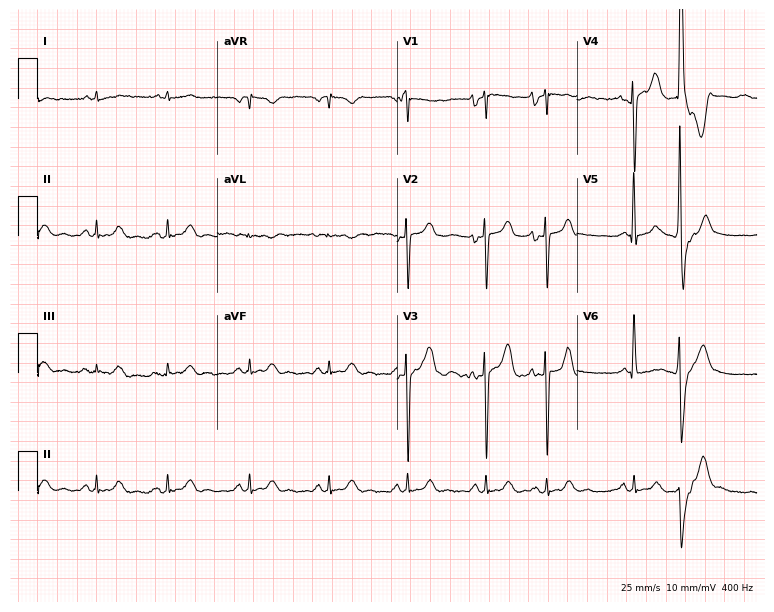
ECG (7.3-second recording at 400 Hz) — a female, 69 years old. Screened for six findings — first-degree AV block, right bundle branch block, left bundle branch block, sinus bradycardia, atrial fibrillation, sinus tachycardia — none is recorded. Only these six findings were labelled.